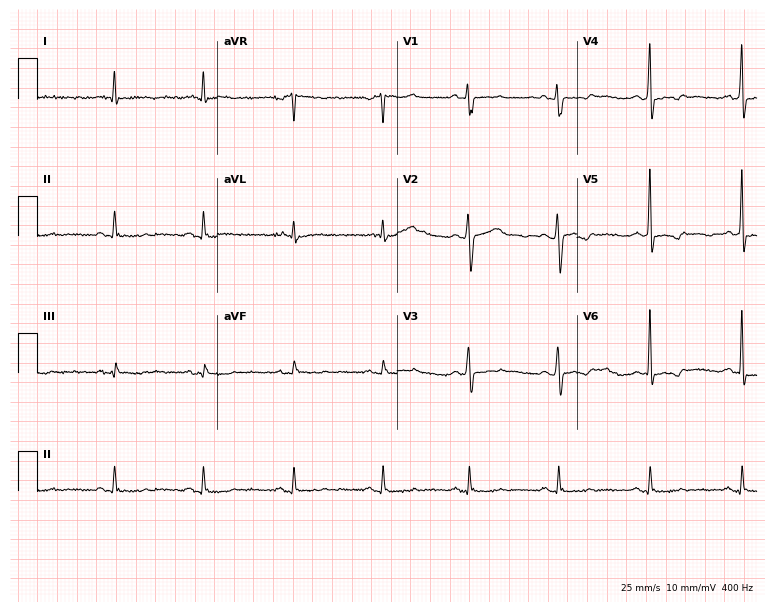
12-lead ECG (7.3-second recording at 400 Hz) from a man, 49 years old. Screened for six findings — first-degree AV block, right bundle branch block, left bundle branch block, sinus bradycardia, atrial fibrillation, sinus tachycardia — none is recorded.